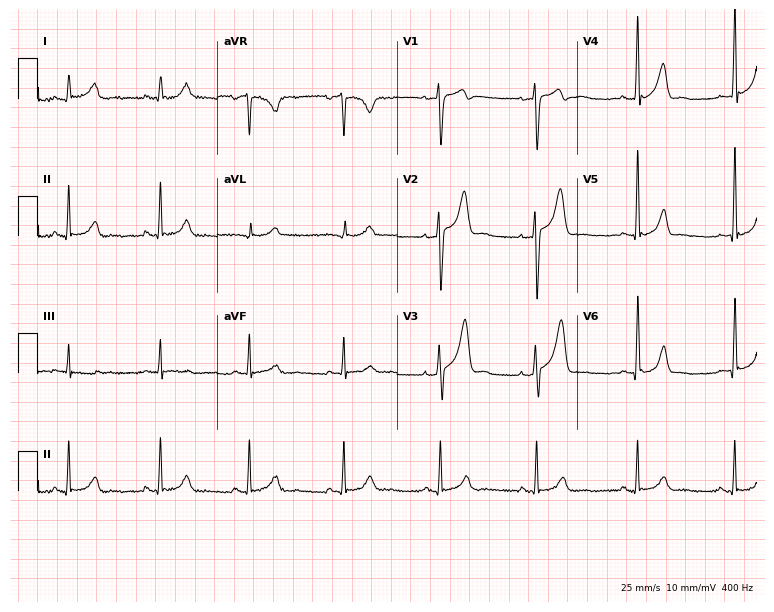
Standard 12-lead ECG recorded from a 44-year-old male. Read as a normal ECG.